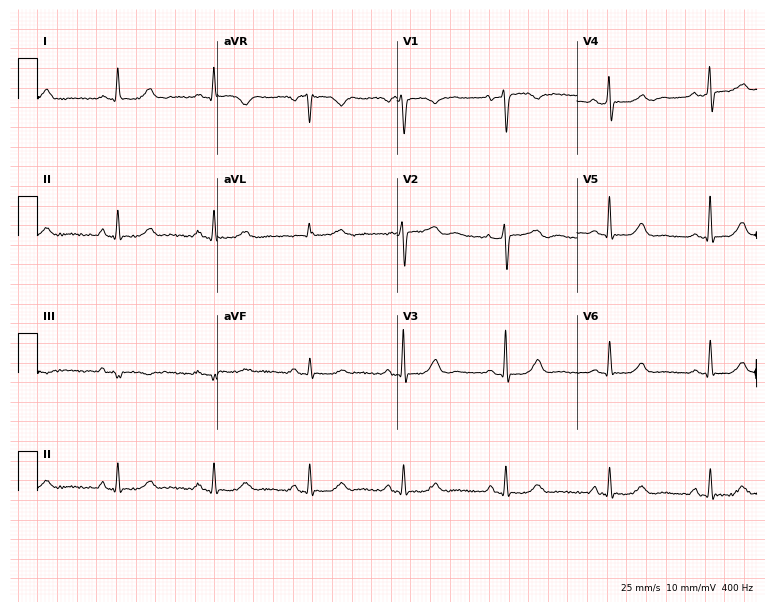
ECG — a woman, 57 years old. Screened for six findings — first-degree AV block, right bundle branch block, left bundle branch block, sinus bradycardia, atrial fibrillation, sinus tachycardia — none is recorded.